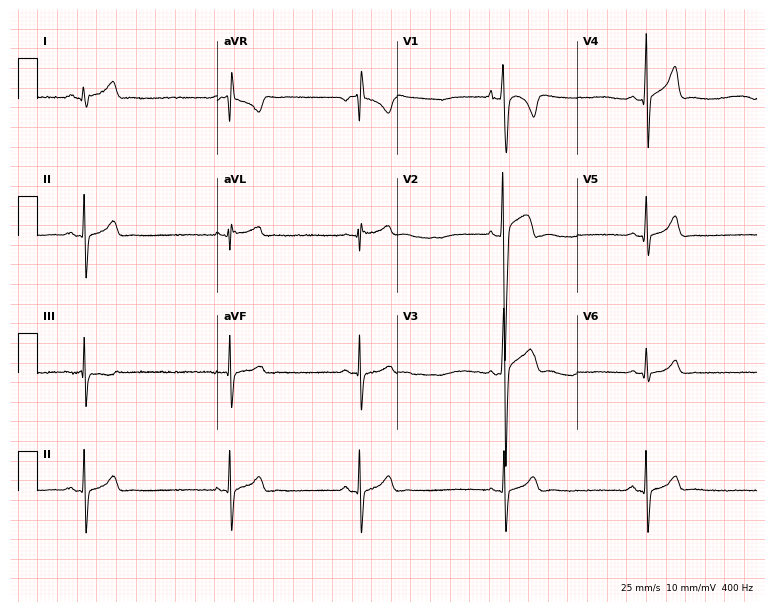
12-lead ECG from a man, 19 years old. Findings include sinus bradycardia (a sinus rate of 50 beats per minute or less).